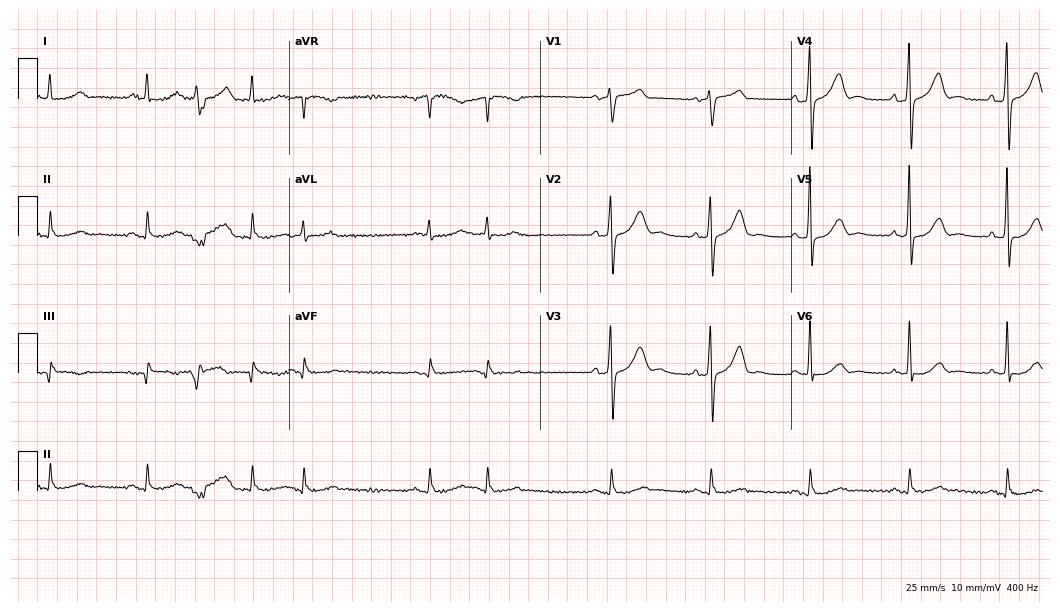
Standard 12-lead ECG recorded from a 73-year-old male (10.2-second recording at 400 Hz). None of these six findings is recorded: first-degree AV block, right bundle branch block, left bundle branch block, sinus bradycardia, atrial fibrillation, sinus tachycardia.